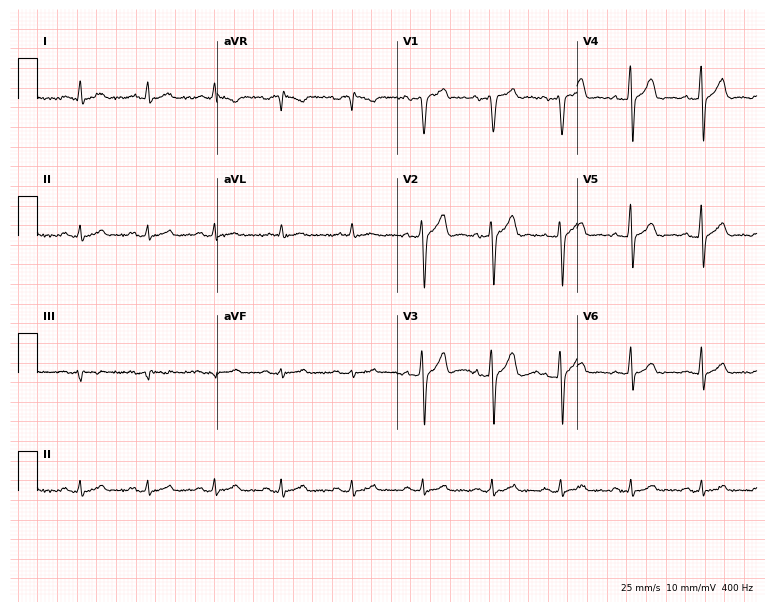
ECG (7.3-second recording at 400 Hz) — a 42-year-old male patient. Labelled as a normal ECG.